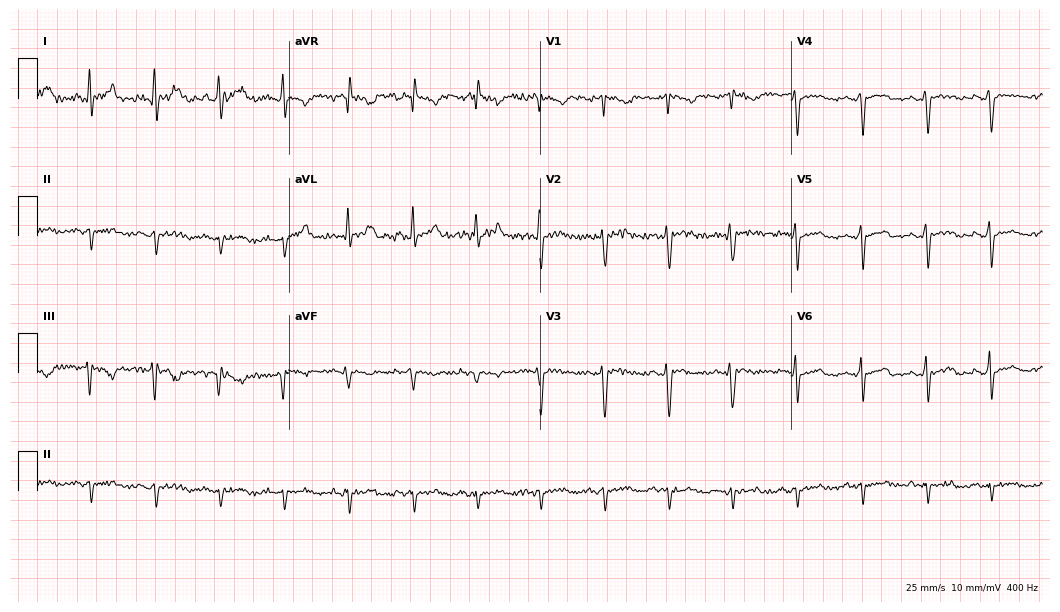
12-lead ECG from a male patient, 44 years old. Screened for six findings — first-degree AV block, right bundle branch block (RBBB), left bundle branch block (LBBB), sinus bradycardia, atrial fibrillation (AF), sinus tachycardia — none is recorded.